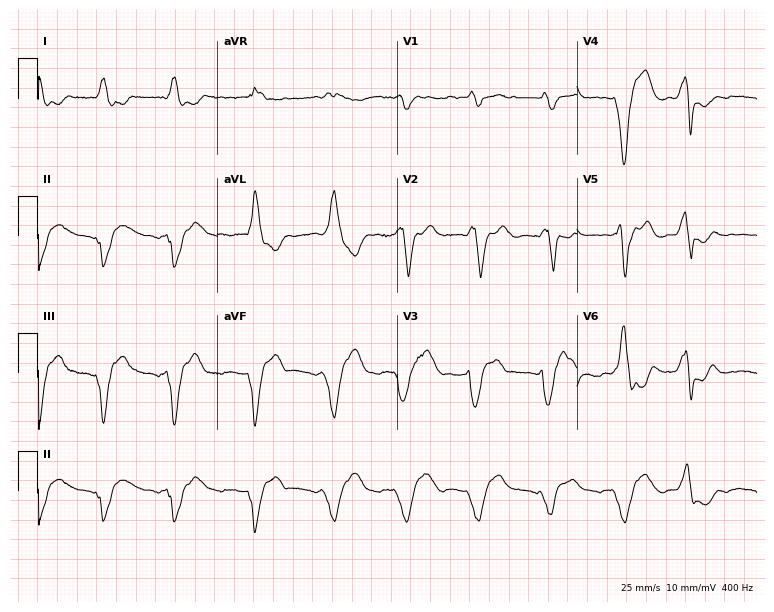
Standard 12-lead ECG recorded from a 50-year-old man. None of these six findings is recorded: first-degree AV block, right bundle branch block (RBBB), left bundle branch block (LBBB), sinus bradycardia, atrial fibrillation (AF), sinus tachycardia. Findings outside these six are not listed.